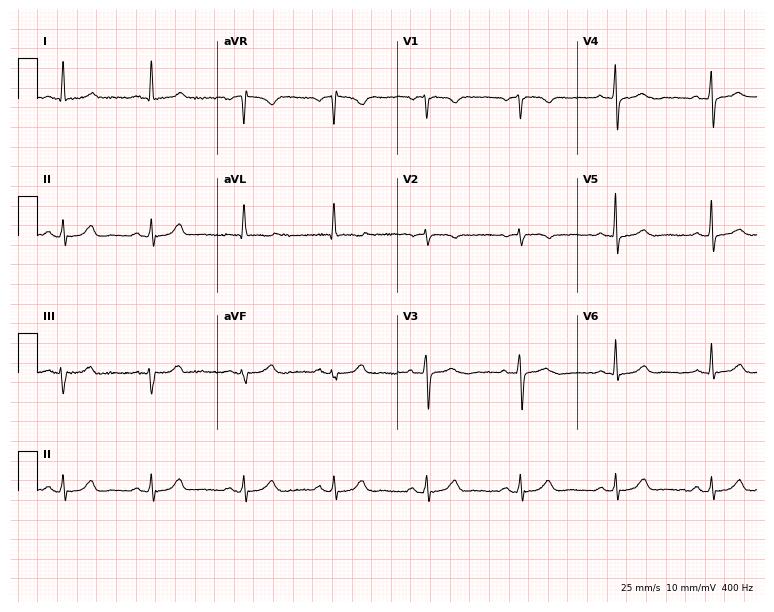
Electrocardiogram (7.3-second recording at 400 Hz), a female, 64 years old. Overall reading on record: normal ECG.